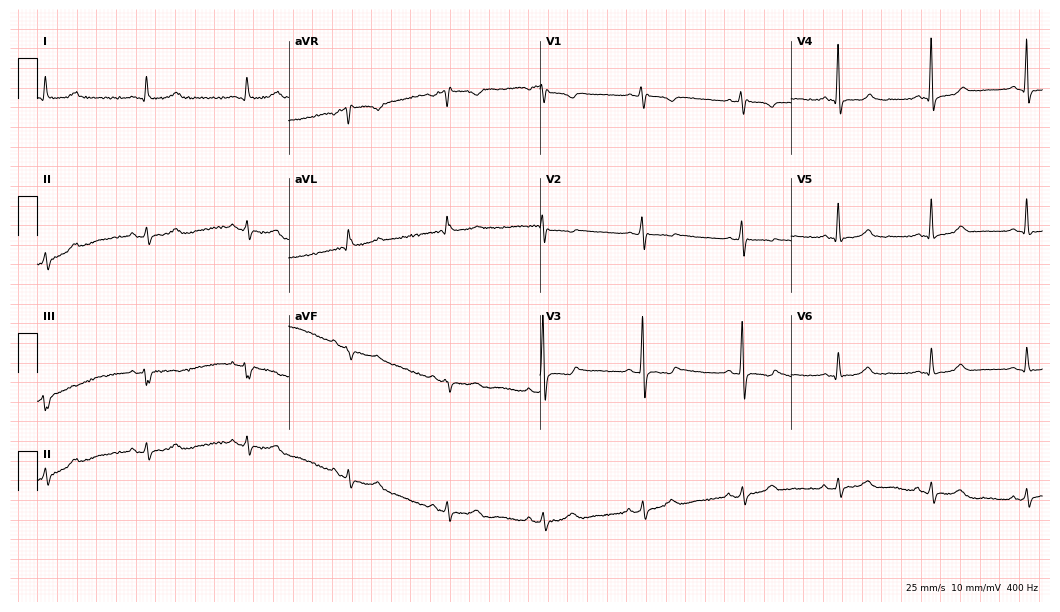
12-lead ECG from a 61-year-old female. Recorded interpretation: within normal limits.